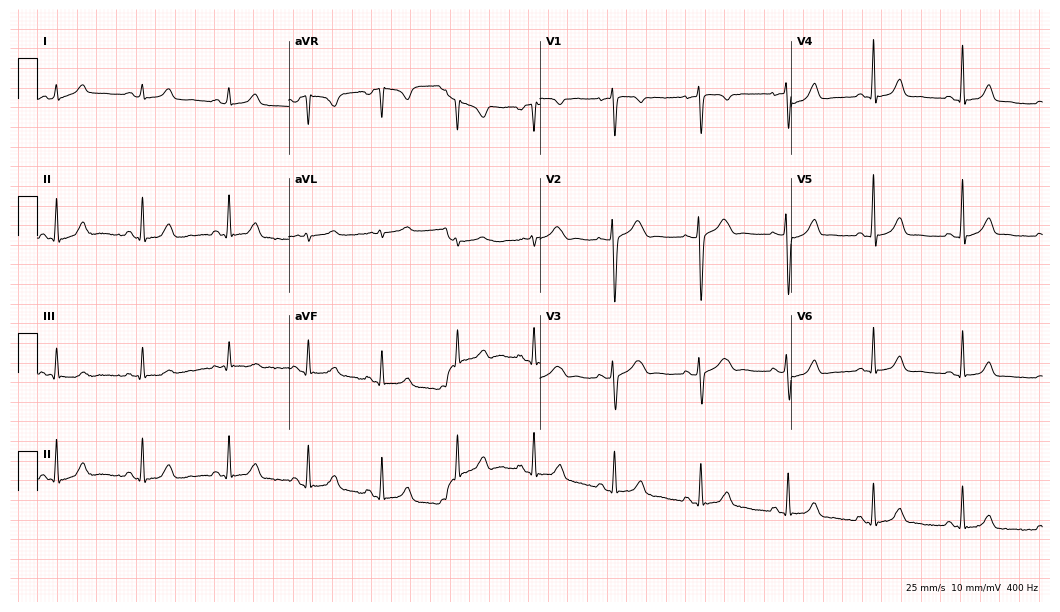
Electrocardiogram (10.2-second recording at 400 Hz), a 30-year-old female. Overall reading on record: normal ECG.